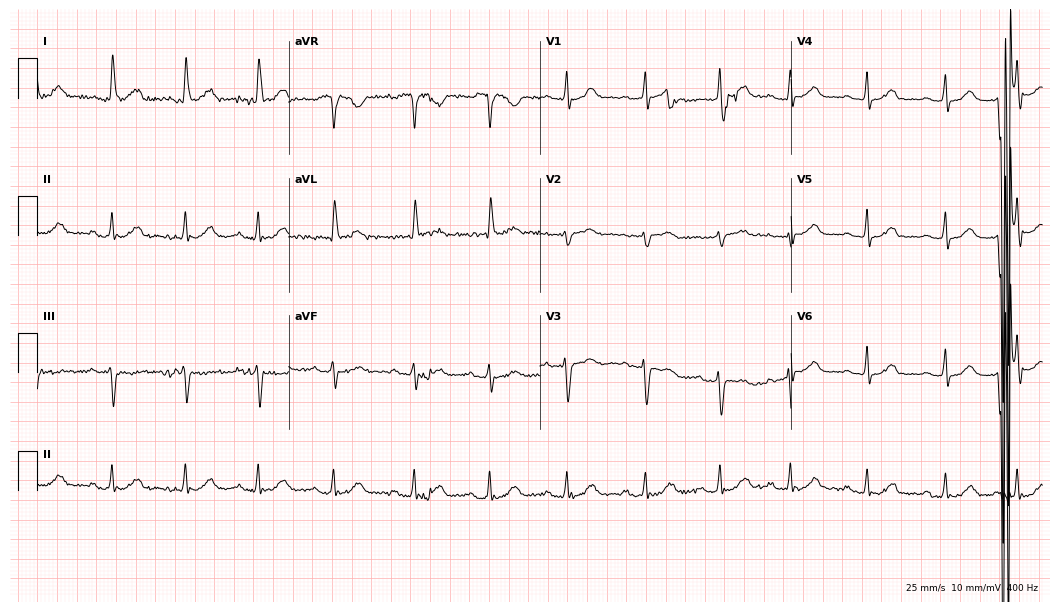
Resting 12-lead electrocardiogram. Patient: a female, 69 years old. Read as a normal ECG.